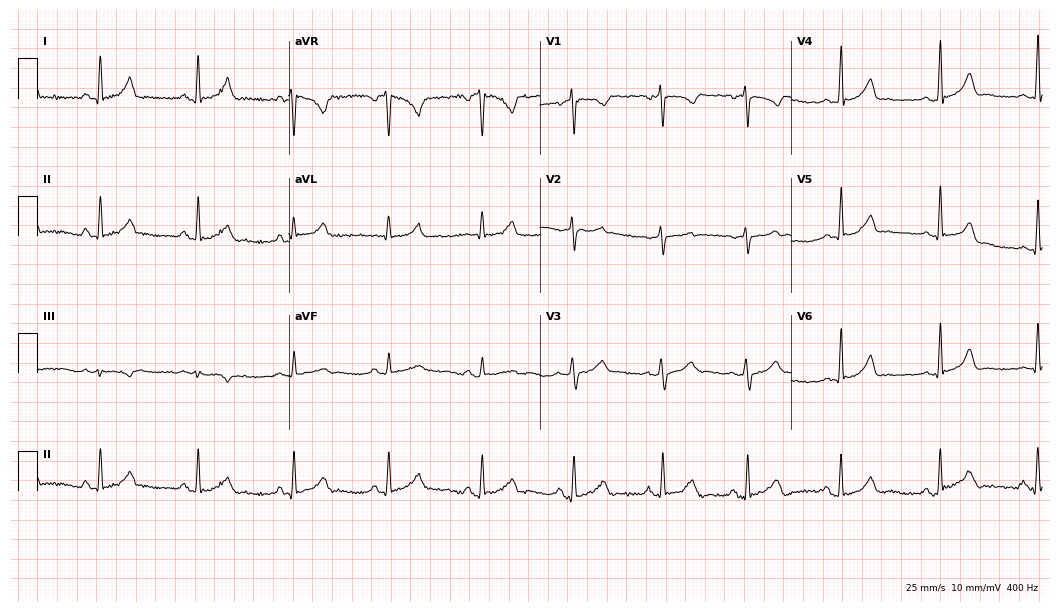
Resting 12-lead electrocardiogram. Patient: a 39-year-old female. Read as a normal ECG.